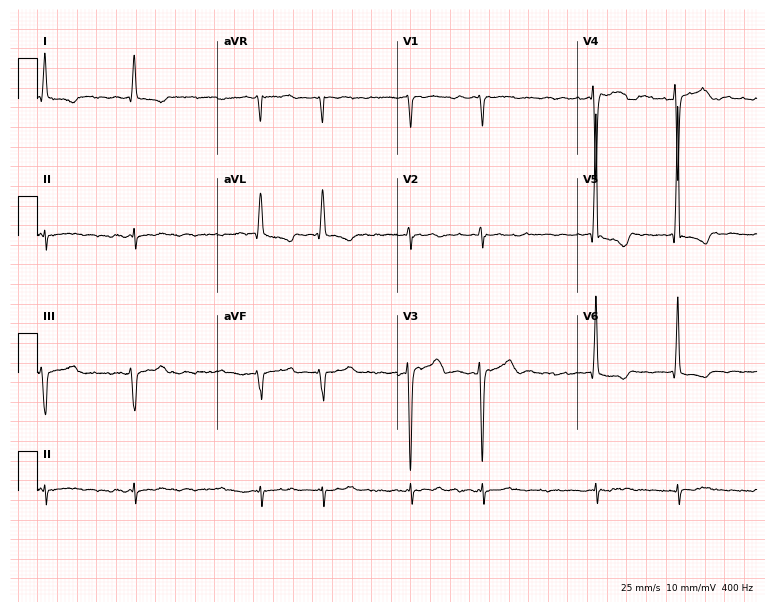
Electrocardiogram (7.3-second recording at 400 Hz), a 75-year-old man. Interpretation includes atrial fibrillation.